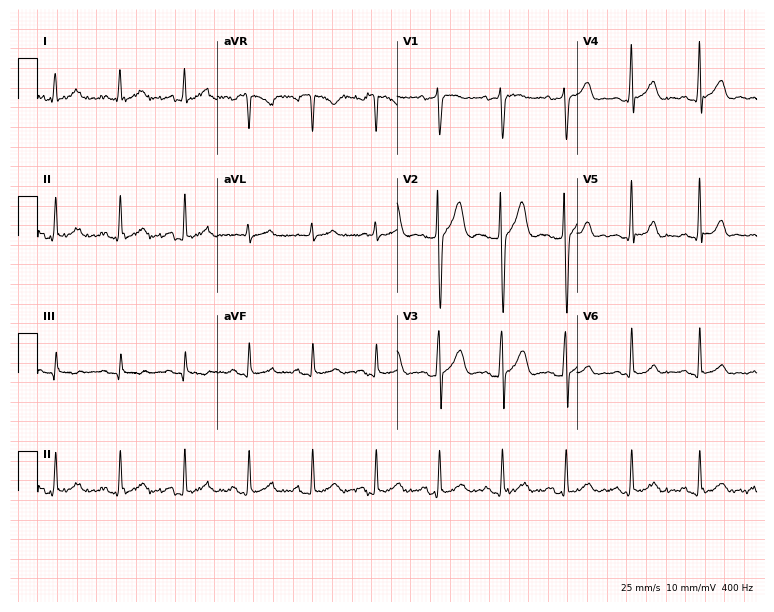
12-lead ECG (7.3-second recording at 400 Hz) from a man, 28 years old. Labelled as a normal ECG.